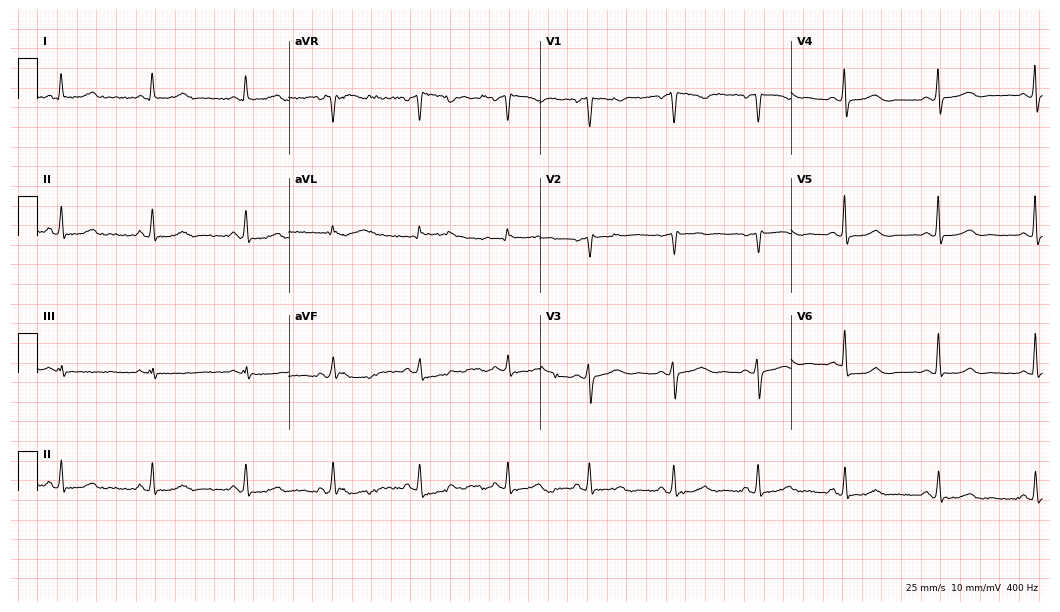
12-lead ECG from a 38-year-old female patient. No first-degree AV block, right bundle branch block (RBBB), left bundle branch block (LBBB), sinus bradycardia, atrial fibrillation (AF) or sinus tachycardia recorded for this tracing.